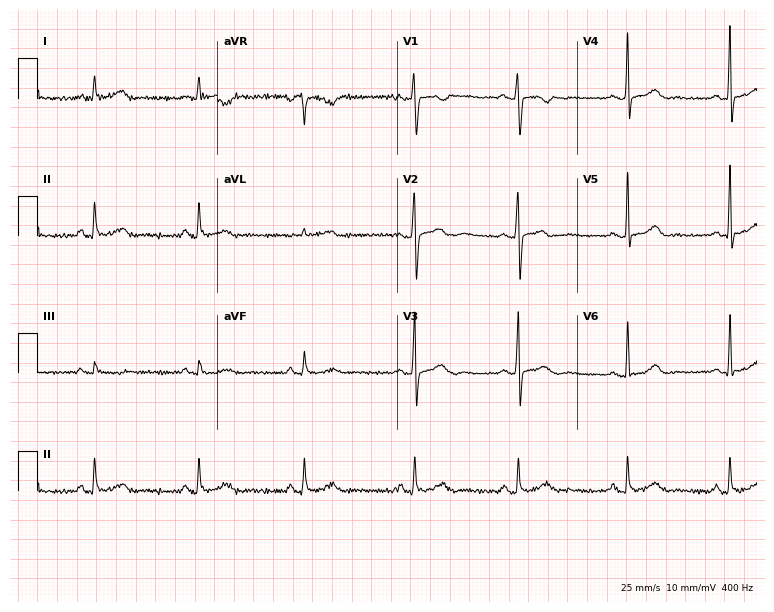
12-lead ECG (7.3-second recording at 400 Hz) from a female patient, 38 years old. Screened for six findings — first-degree AV block, right bundle branch block (RBBB), left bundle branch block (LBBB), sinus bradycardia, atrial fibrillation (AF), sinus tachycardia — none is recorded. Only these six findings were labelled.